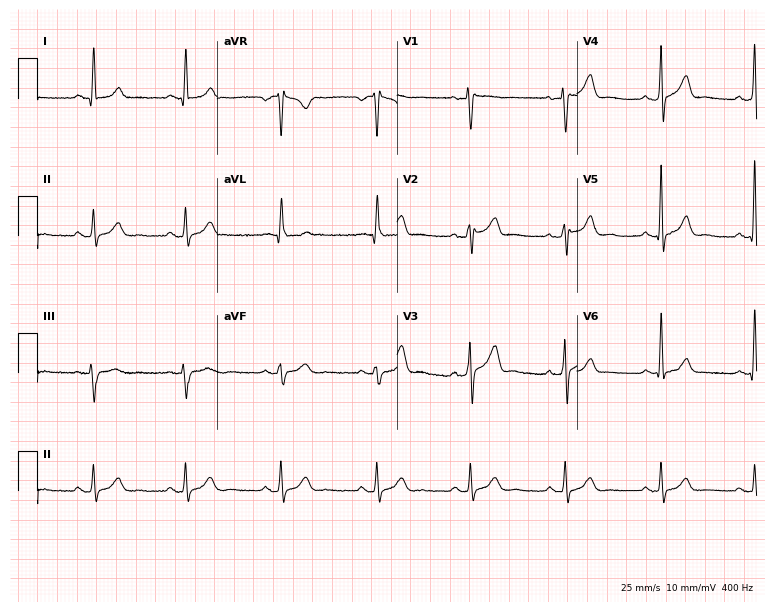
Resting 12-lead electrocardiogram. Patient: a male, 66 years old. None of these six findings is recorded: first-degree AV block, right bundle branch block, left bundle branch block, sinus bradycardia, atrial fibrillation, sinus tachycardia. Only these six findings were labelled.